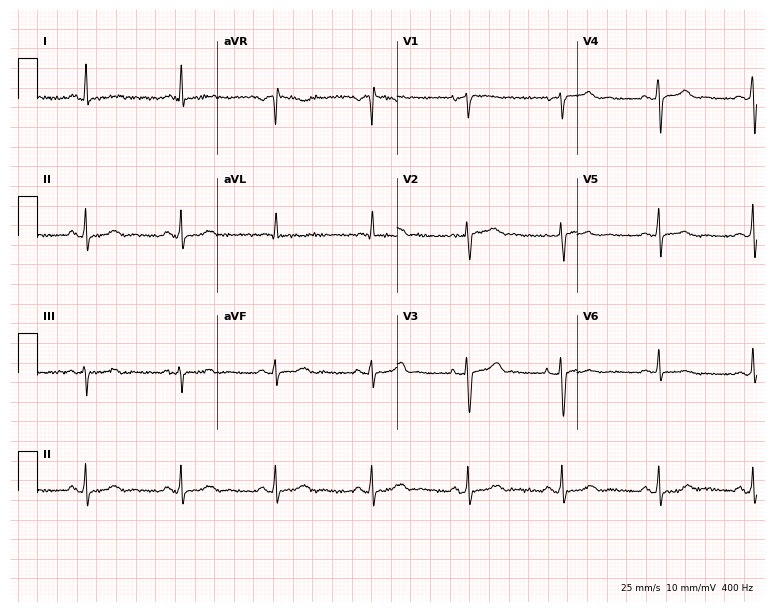
Resting 12-lead electrocardiogram. Patient: a 53-year-old woman. Read as a normal ECG.